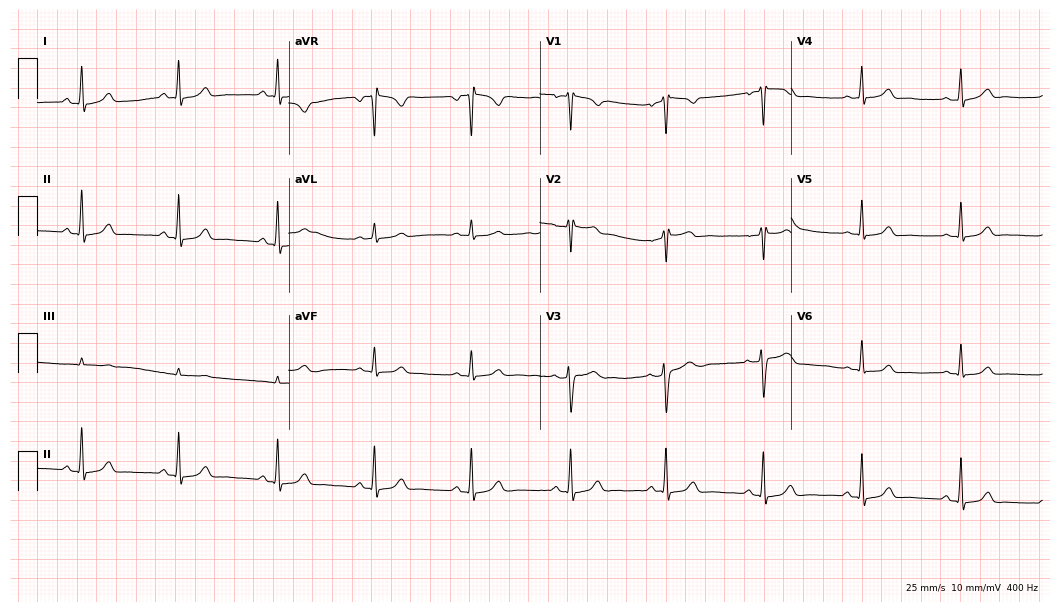
ECG (10.2-second recording at 400 Hz) — a 29-year-old woman. Labelled as a normal ECG.